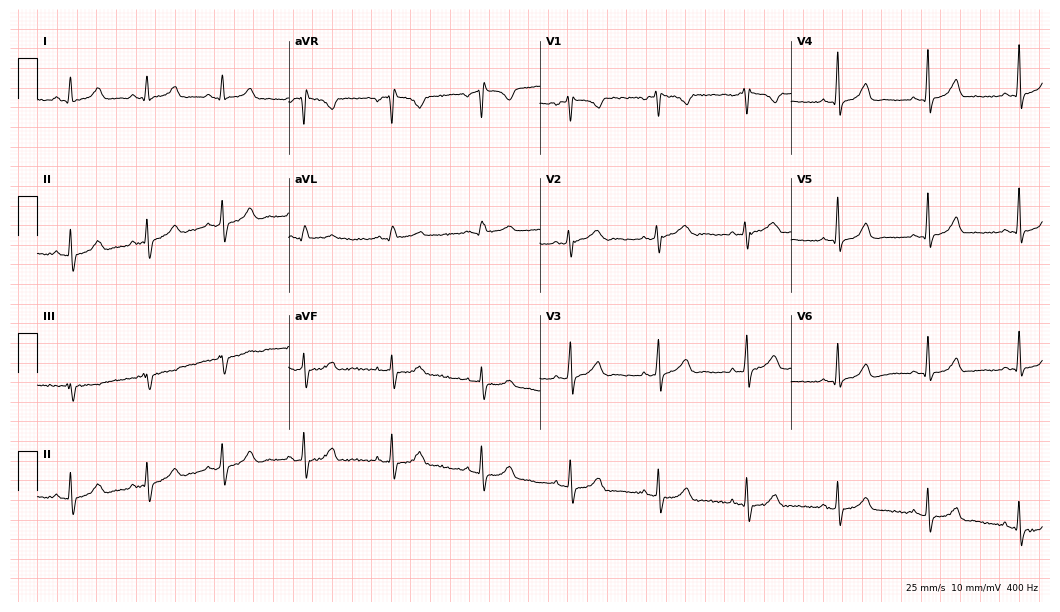
12-lead ECG from a 27-year-old female. Labelled as a normal ECG.